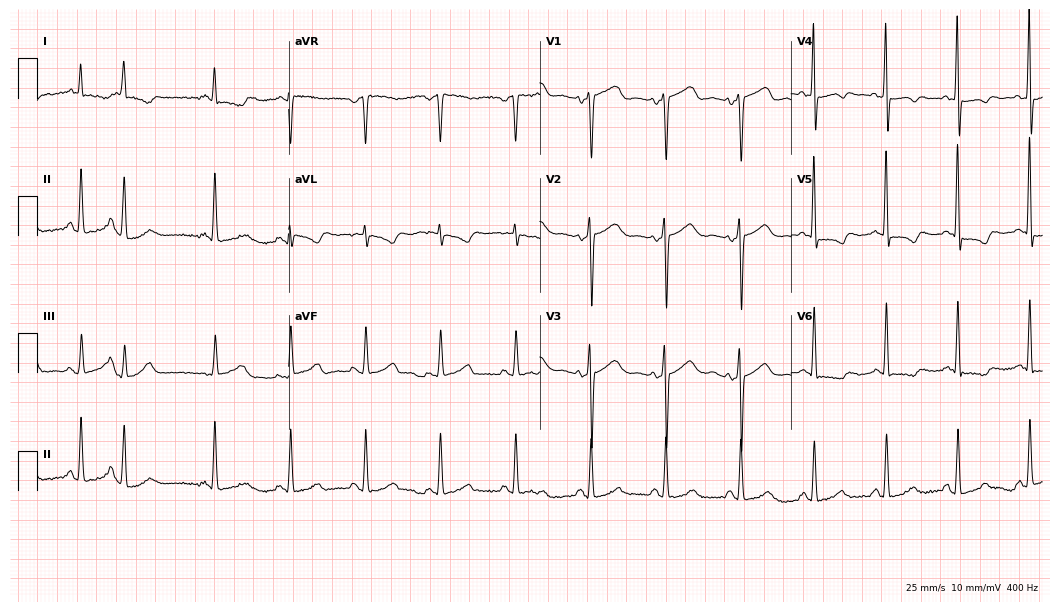
12-lead ECG from a female patient, 65 years old. Screened for six findings — first-degree AV block, right bundle branch block (RBBB), left bundle branch block (LBBB), sinus bradycardia, atrial fibrillation (AF), sinus tachycardia — none is recorded. Other findings, if any, are not listed.